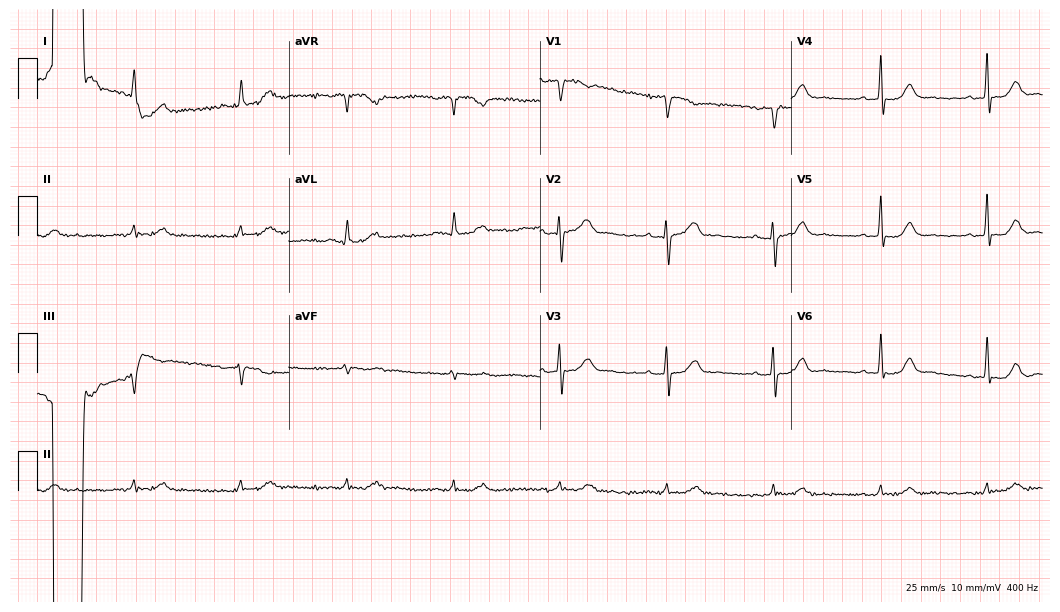
Standard 12-lead ECG recorded from a male, 63 years old. Read as a normal ECG.